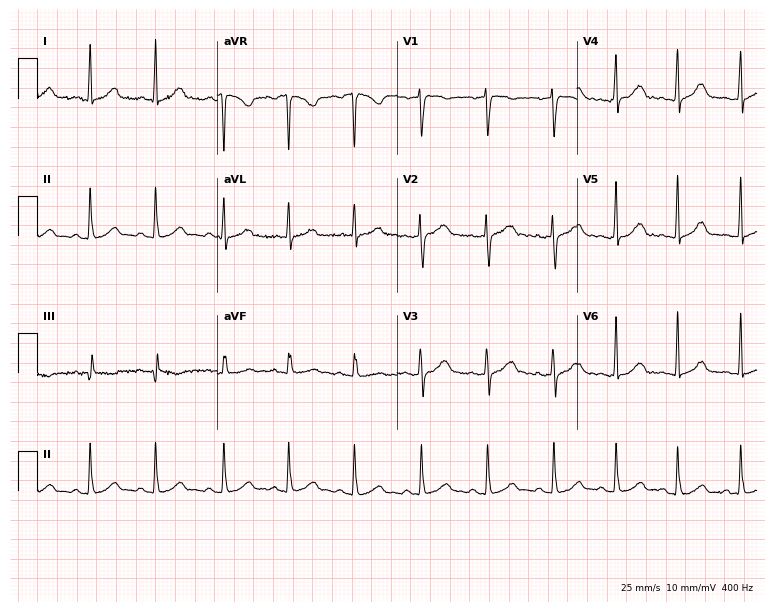
12-lead ECG from a female, 22 years old. Recorded interpretation: within normal limits.